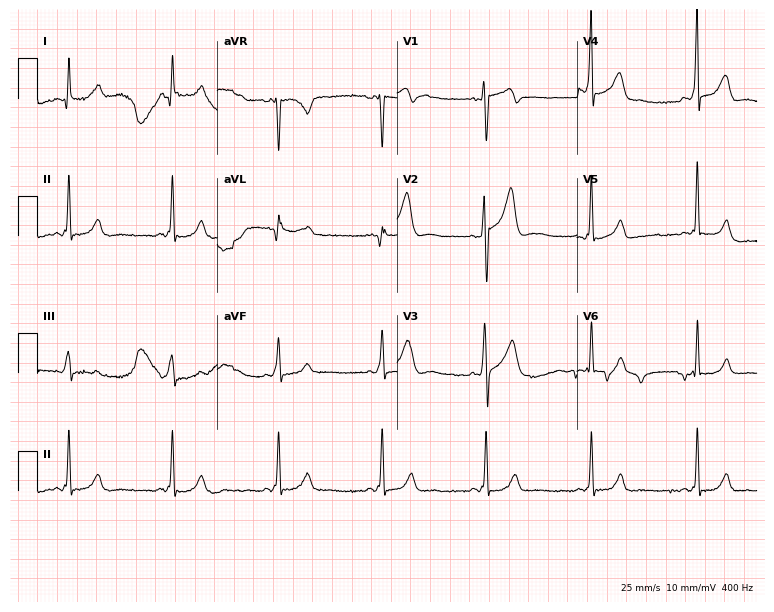
12-lead ECG from a male patient, 50 years old. No first-degree AV block, right bundle branch block (RBBB), left bundle branch block (LBBB), sinus bradycardia, atrial fibrillation (AF) or sinus tachycardia recorded for this tracing. Findings outside these six are not listed.